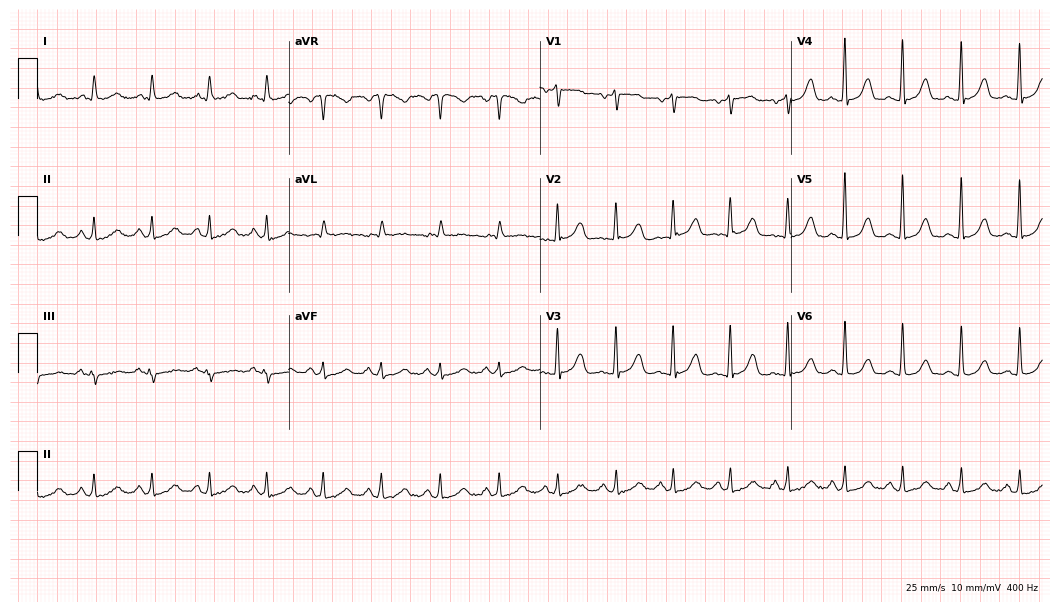
12-lead ECG (10.2-second recording at 400 Hz) from a 61-year-old female. Findings include sinus tachycardia (a sinus rate of 100 beats per minute or more).